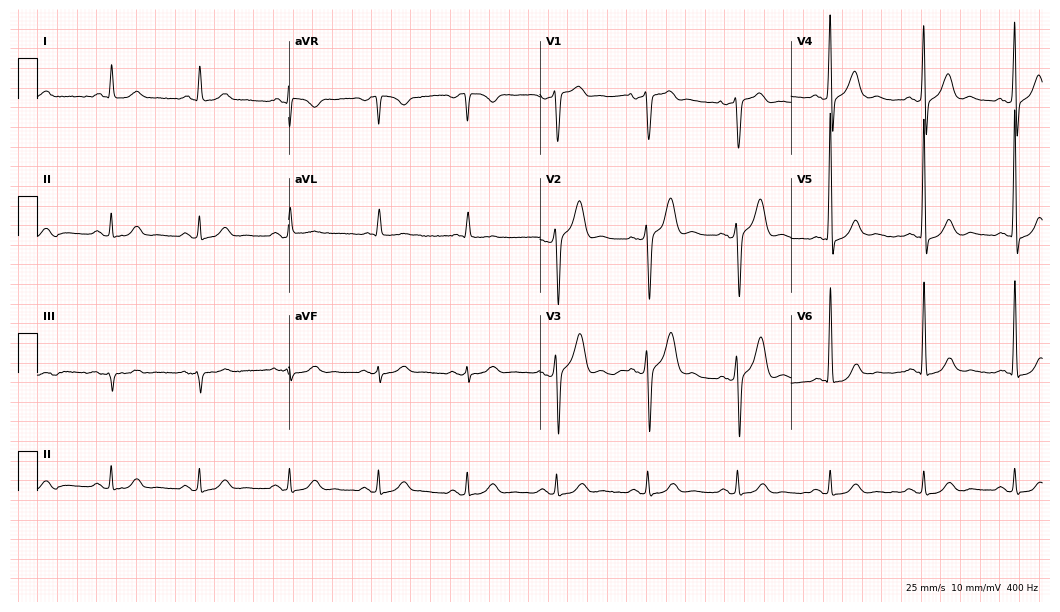
Resting 12-lead electrocardiogram (10.2-second recording at 400 Hz). Patient: a male, 63 years old. Read as a normal ECG.